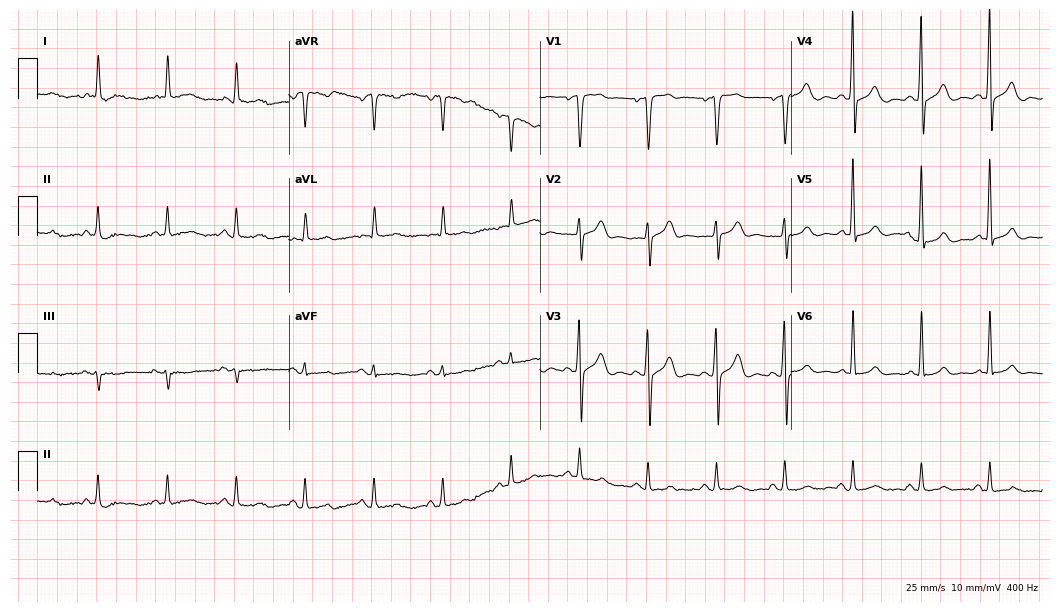
Electrocardiogram (10.2-second recording at 400 Hz), a 75-year-old man. Overall reading on record: normal ECG.